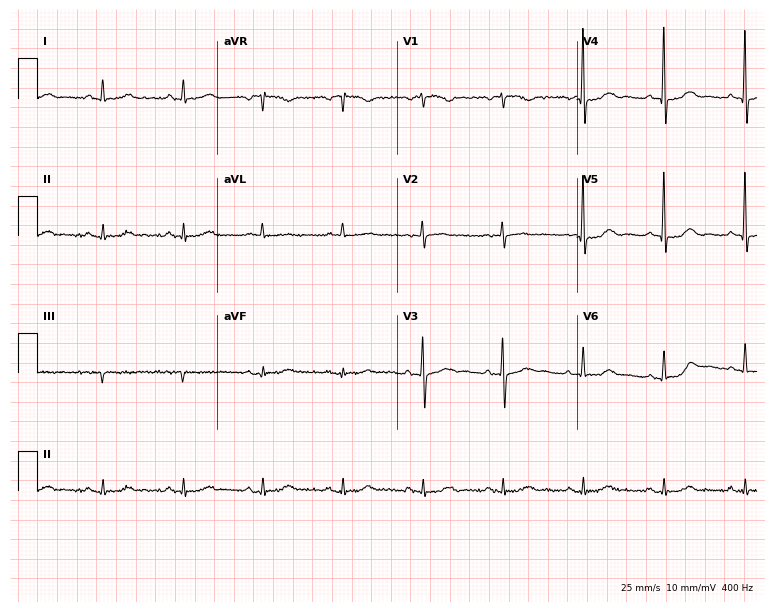
Standard 12-lead ECG recorded from a female patient, 82 years old. None of these six findings is recorded: first-degree AV block, right bundle branch block, left bundle branch block, sinus bradycardia, atrial fibrillation, sinus tachycardia.